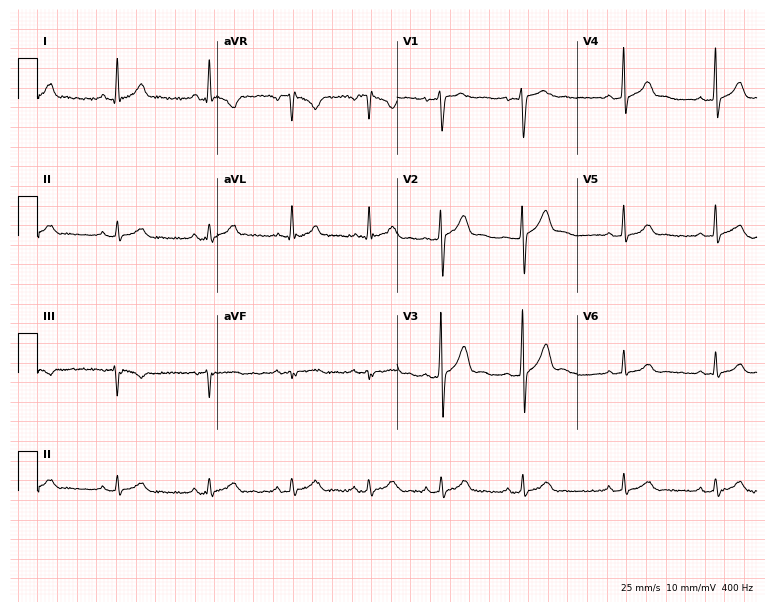
Resting 12-lead electrocardiogram. Patient: a man, 30 years old. Read as a normal ECG.